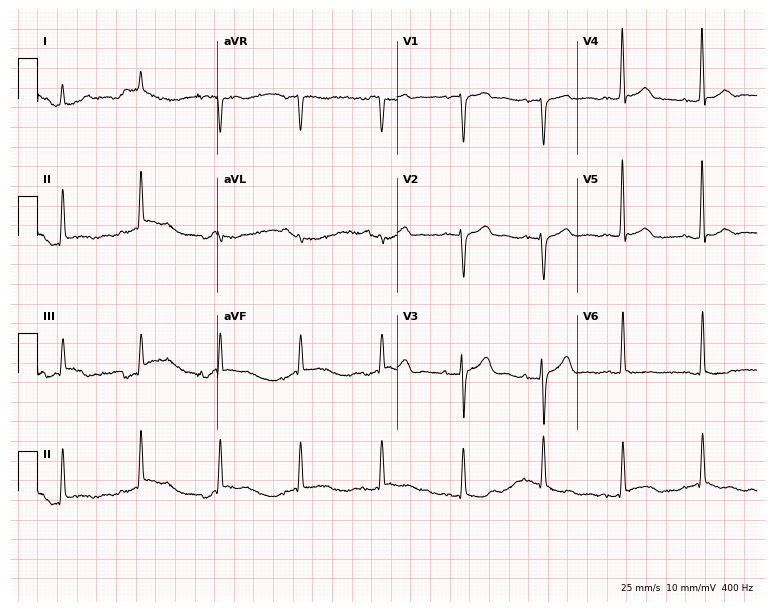
Electrocardiogram, a 56-year-old man. Of the six screened findings (first-degree AV block, right bundle branch block, left bundle branch block, sinus bradycardia, atrial fibrillation, sinus tachycardia), none is recorded. Only these six findings were labelled.